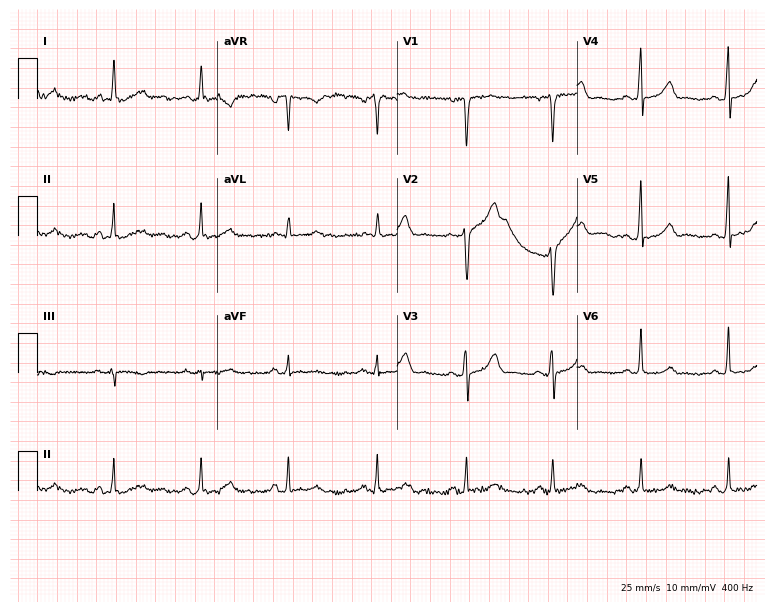
12-lead ECG from a woman, 47 years old (7.3-second recording at 400 Hz). Recorded interpretation: within normal limits.